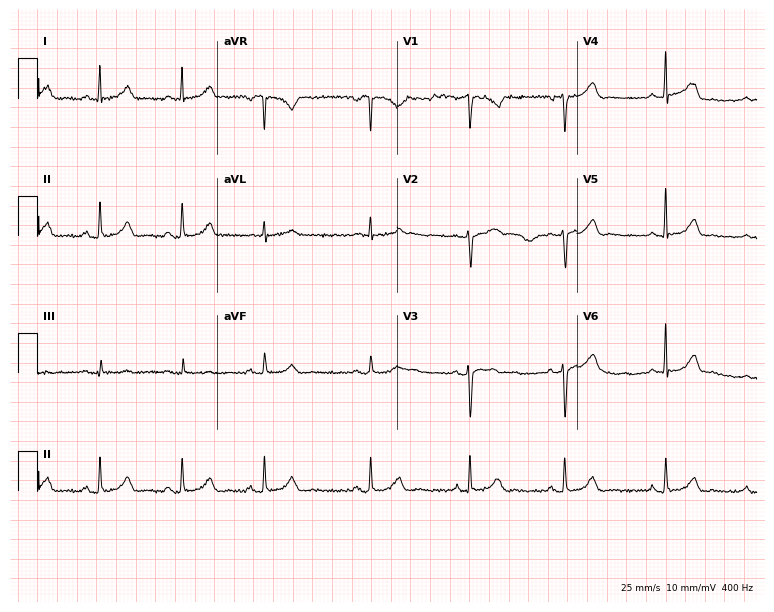
ECG — a 26-year-old female. Labelled as a normal ECG.